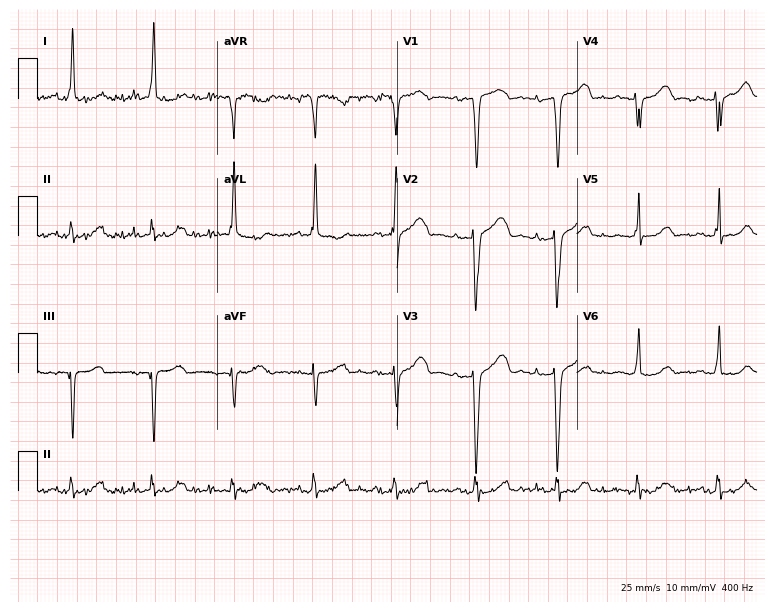
Standard 12-lead ECG recorded from a woman, 74 years old (7.3-second recording at 400 Hz). None of these six findings is recorded: first-degree AV block, right bundle branch block, left bundle branch block, sinus bradycardia, atrial fibrillation, sinus tachycardia. Only these six findings were labelled.